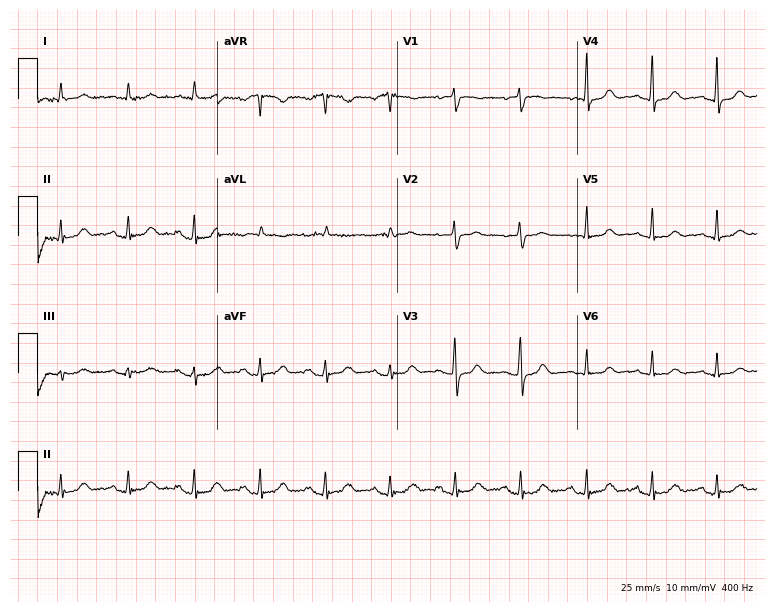
12-lead ECG (7.3-second recording at 400 Hz) from an 82-year-old female patient. Labelled as a normal ECG.